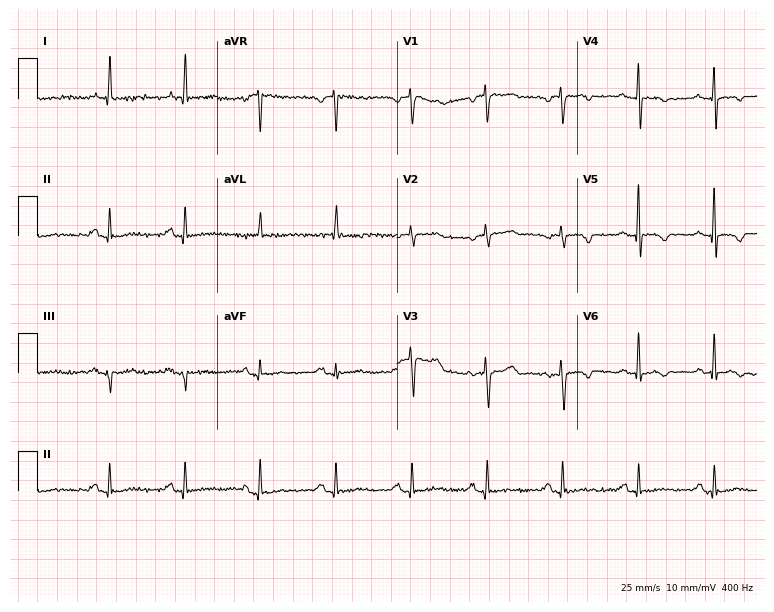
ECG (7.3-second recording at 400 Hz) — a 71-year-old woman. Screened for six findings — first-degree AV block, right bundle branch block (RBBB), left bundle branch block (LBBB), sinus bradycardia, atrial fibrillation (AF), sinus tachycardia — none is recorded. Findings outside these six are not listed.